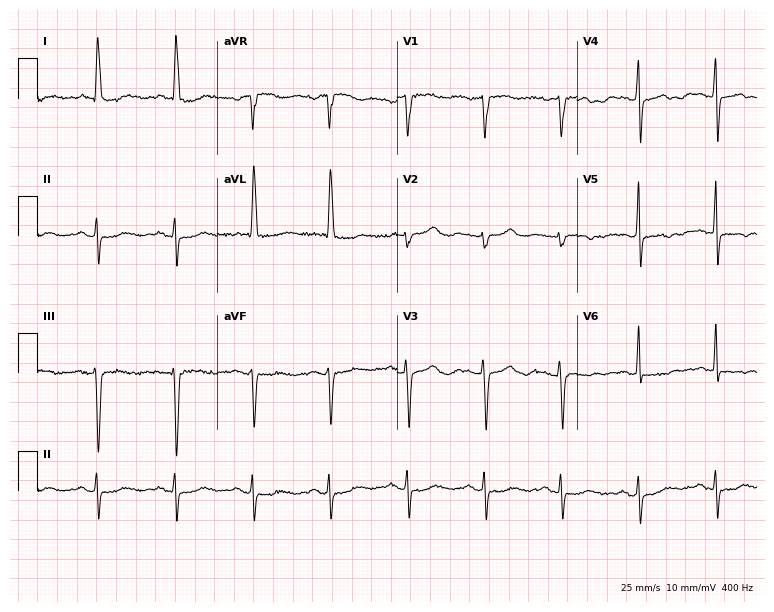
12-lead ECG from a female, 83 years old (7.3-second recording at 400 Hz). No first-degree AV block, right bundle branch block (RBBB), left bundle branch block (LBBB), sinus bradycardia, atrial fibrillation (AF) or sinus tachycardia recorded for this tracing.